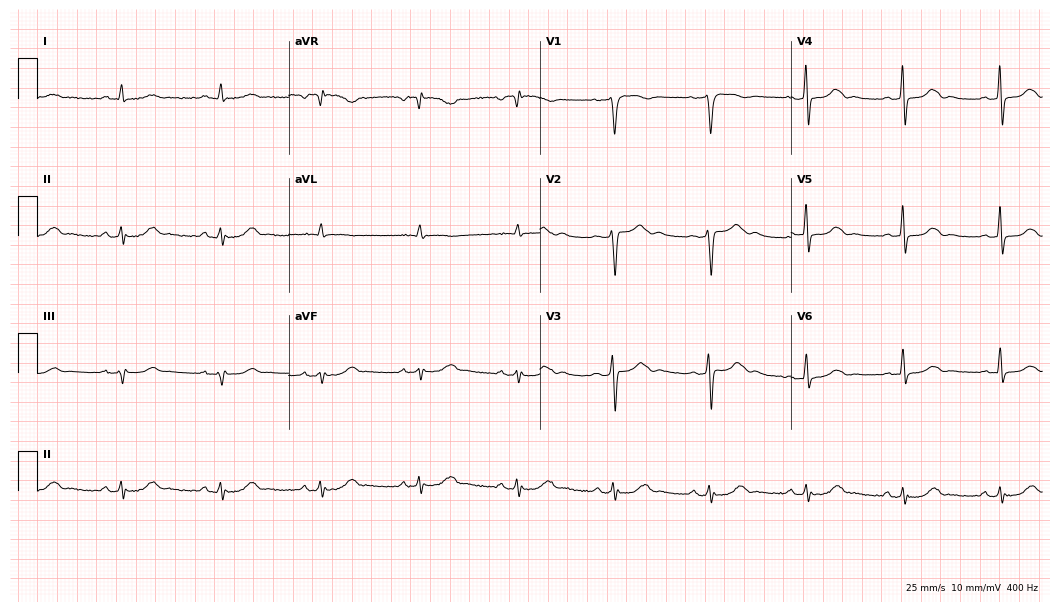
Resting 12-lead electrocardiogram (10.2-second recording at 400 Hz). Patient: a 78-year-old woman. None of these six findings is recorded: first-degree AV block, right bundle branch block (RBBB), left bundle branch block (LBBB), sinus bradycardia, atrial fibrillation (AF), sinus tachycardia.